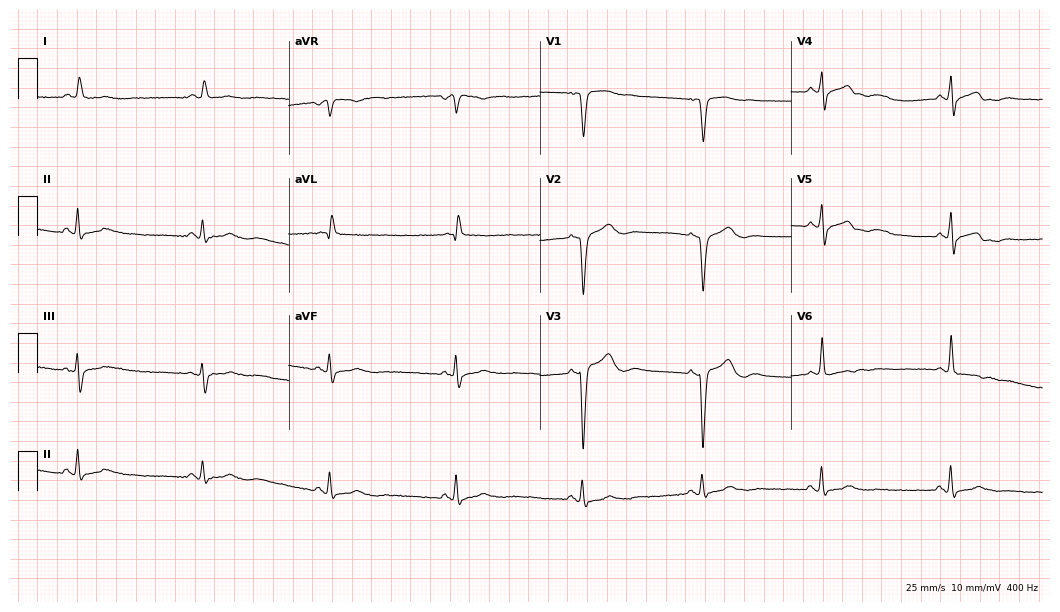
Resting 12-lead electrocardiogram. Patient: a man, 70 years old. The tracing shows sinus bradycardia (a sinus rate of 50 beats per minute or less).